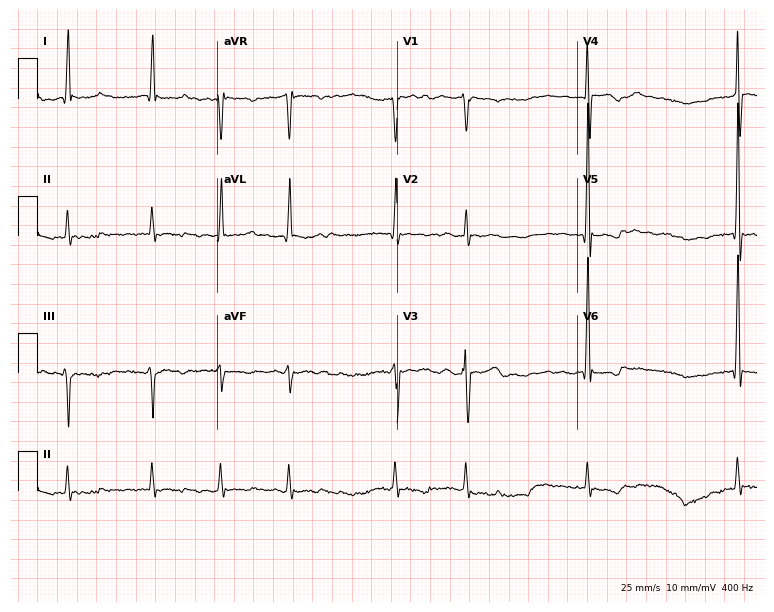
Resting 12-lead electrocardiogram (7.3-second recording at 400 Hz). Patient: a male, 57 years old. The tracing shows atrial fibrillation (AF).